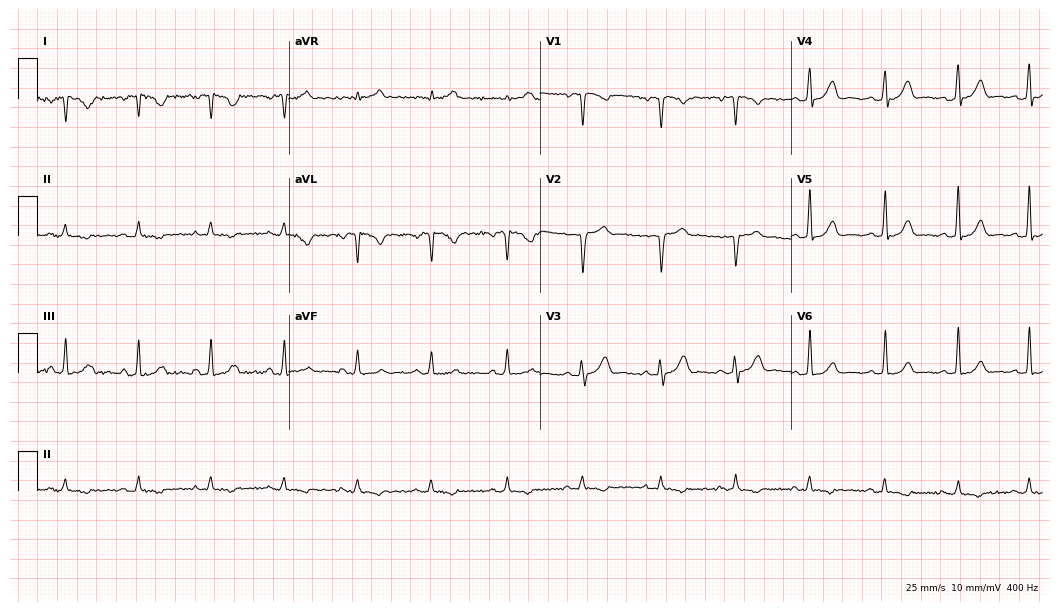
Electrocardiogram (10.2-second recording at 400 Hz), a female patient, 37 years old. Of the six screened findings (first-degree AV block, right bundle branch block, left bundle branch block, sinus bradycardia, atrial fibrillation, sinus tachycardia), none is recorded. Findings outside these six are not listed.